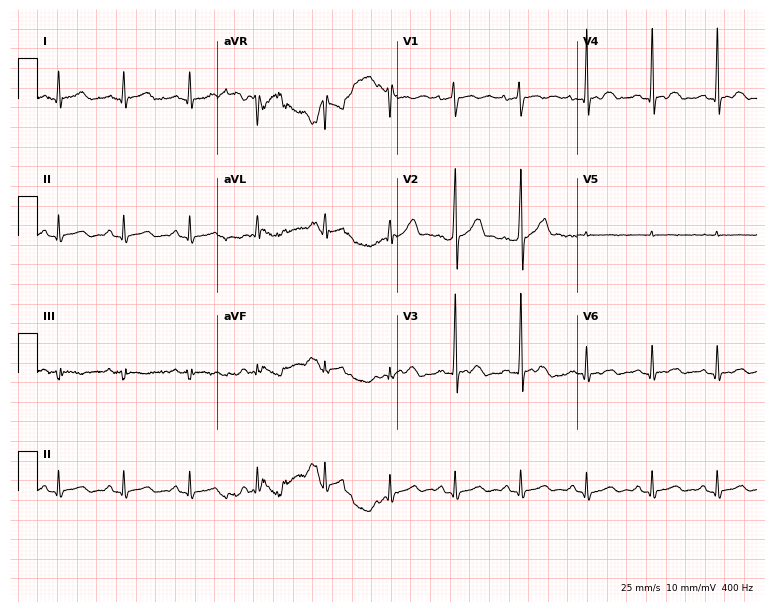
Resting 12-lead electrocardiogram. Patient: a 49-year-old male. None of these six findings is recorded: first-degree AV block, right bundle branch block, left bundle branch block, sinus bradycardia, atrial fibrillation, sinus tachycardia. Other findings, if any, are not listed.